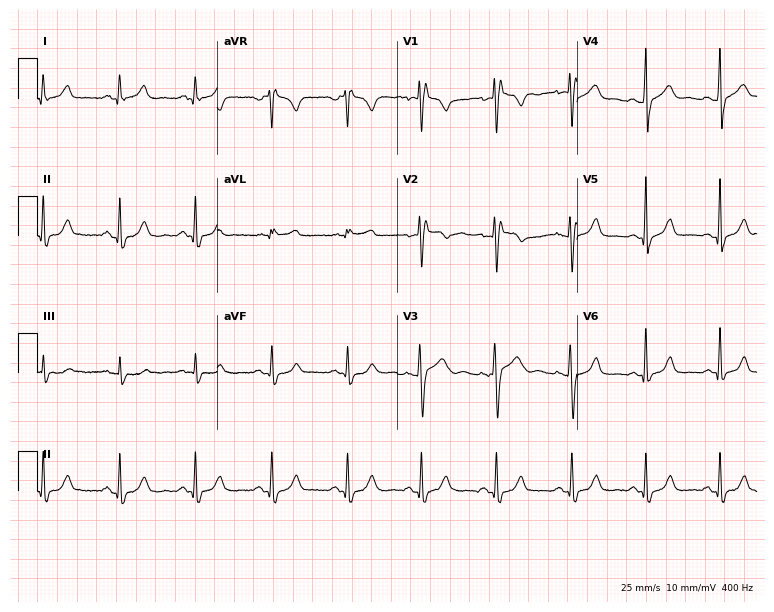
ECG (7.3-second recording at 400 Hz) — a 42-year-old female. Screened for six findings — first-degree AV block, right bundle branch block (RBBB), left bundle branch block (LBBB), sinus bradycardia, atrial fibrillation (AF), sinus tachycardia — none is recorded.